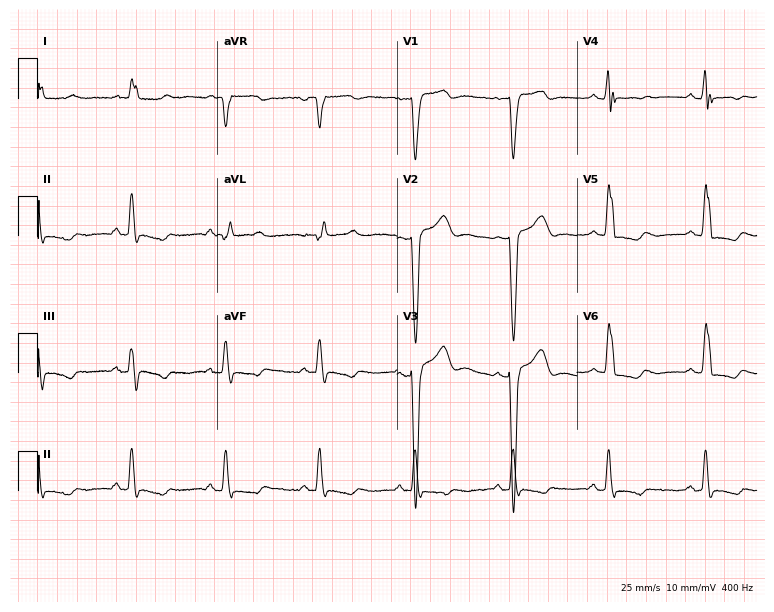
Standard 12-lead ECG recorded from a female patient, 83 years old. The tracing shows left bundle branch block.